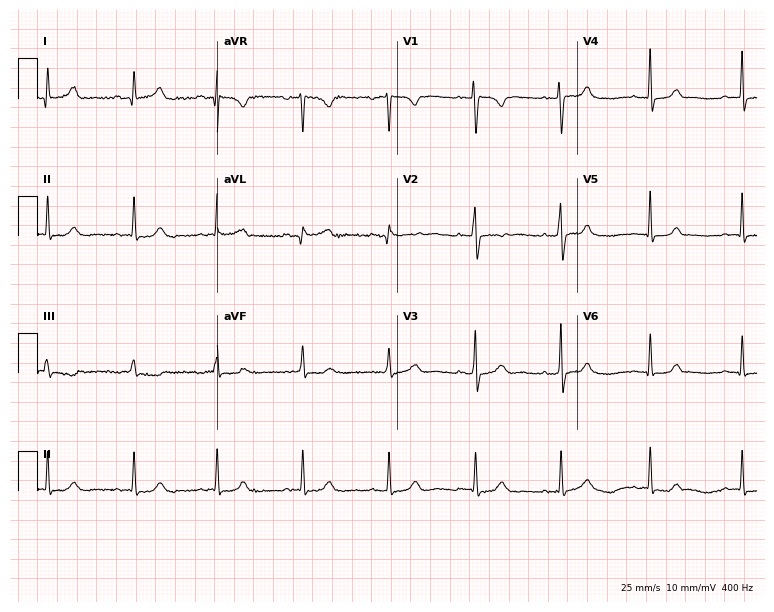
Standard 12-lead ECG recorded from a 32-year-old female. None of these six findings is recorded: first-degree AV block, right bundle branch block (RBBB), left bundle branch block (LBBB), sinus bradycardia, atrial fibrillation (AF), sinus tachycardia. Other findings, if any, are not listed.